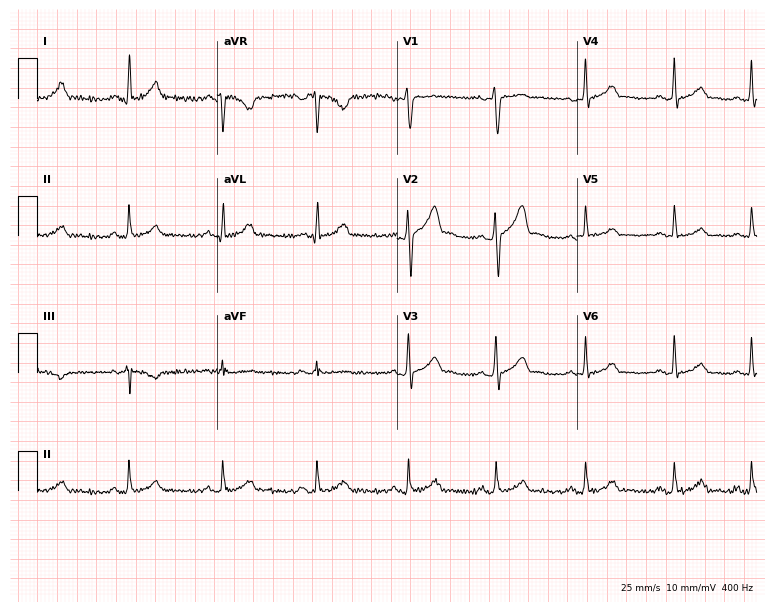
ECG (7.3-second recording at 400 Hz) — a 21-year-old man. Labelled as a normal ECG.